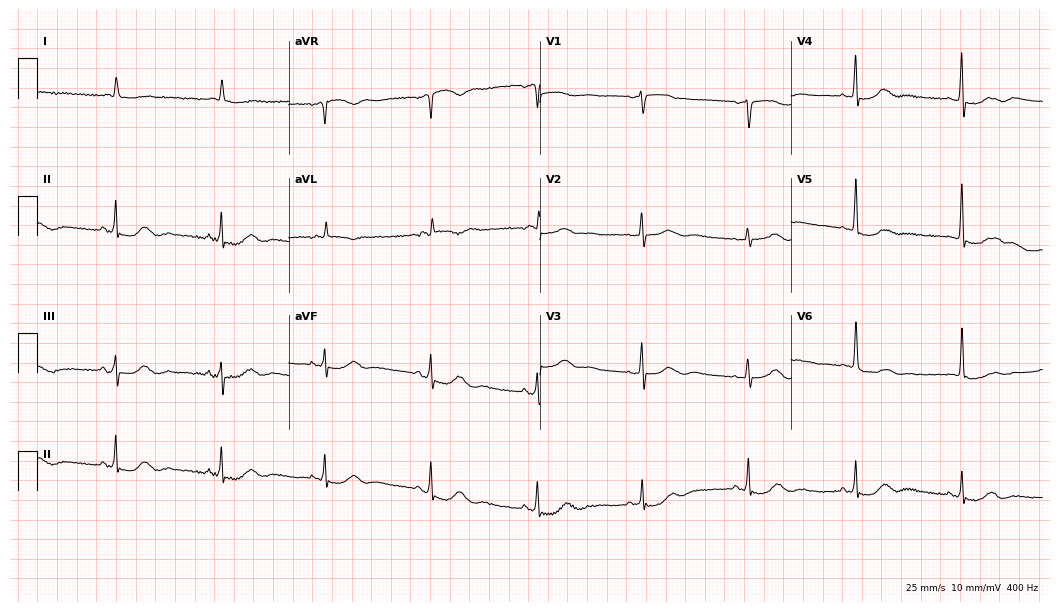
ECG (10.2-second recording at 400 Hz) — a 77-year-old woman. Screened for six findings — first-degree AV block, right bundle branch block, left bundle branch block, sinus bradycardia, atrial fibrillation, sinus tachycardia — none is recorded.